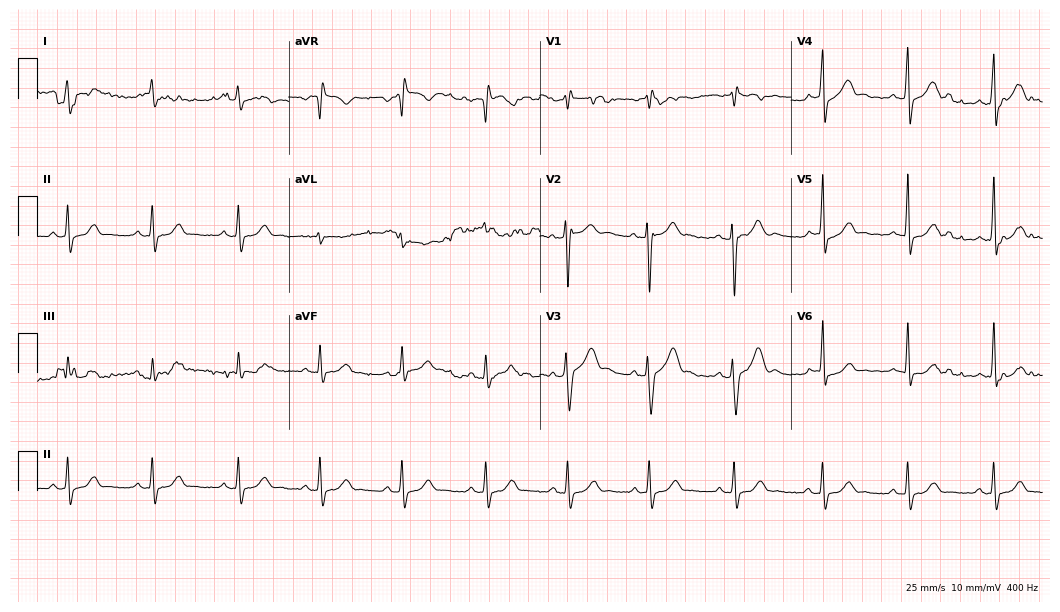
Standard 12-lead ECG recorded from a male, 29 years old (10.2-second recording at 400 Hz). None of these six findings is recorded: first-degree AV block, right bundle branch block, left bundle branch block, sinus bradycardia, atrial fibrillation, sinus tachycardia. Only these six findings were labelled.